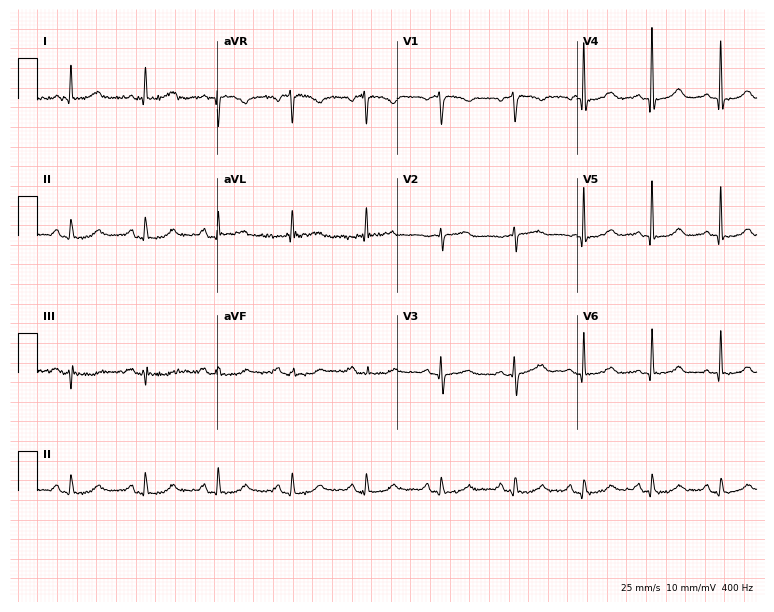
Resting 12-lead electrocardiogram. Patient: a 73-year-old woman. None of these six findings is recorded: first-degree AV block, right bundle branch block, left bundle branch block, sinus bradycardia, atrial fibrillation, sinus tachycardia. Only these six findings were labelled.